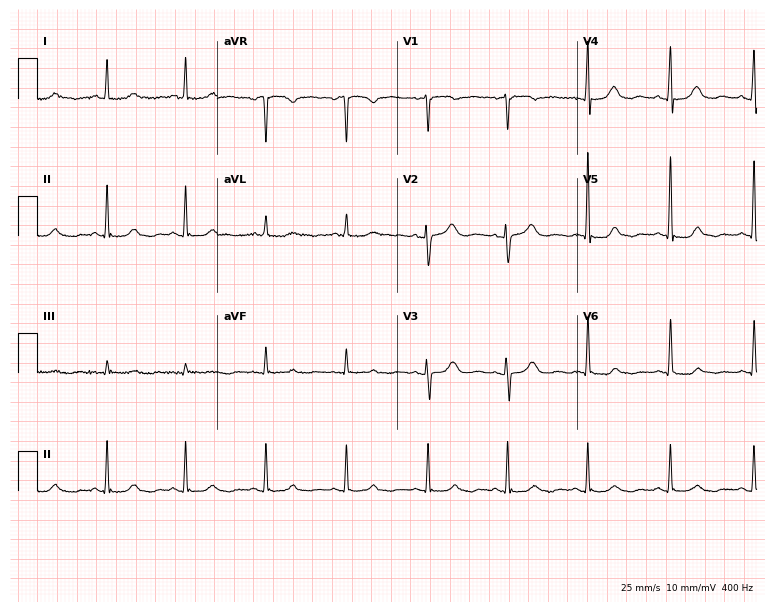
Resting 12-lead electrocardiogram (7.3-second recording at 400 Hz). Patient: a woman, 62 years old. Read as a normal ECG.